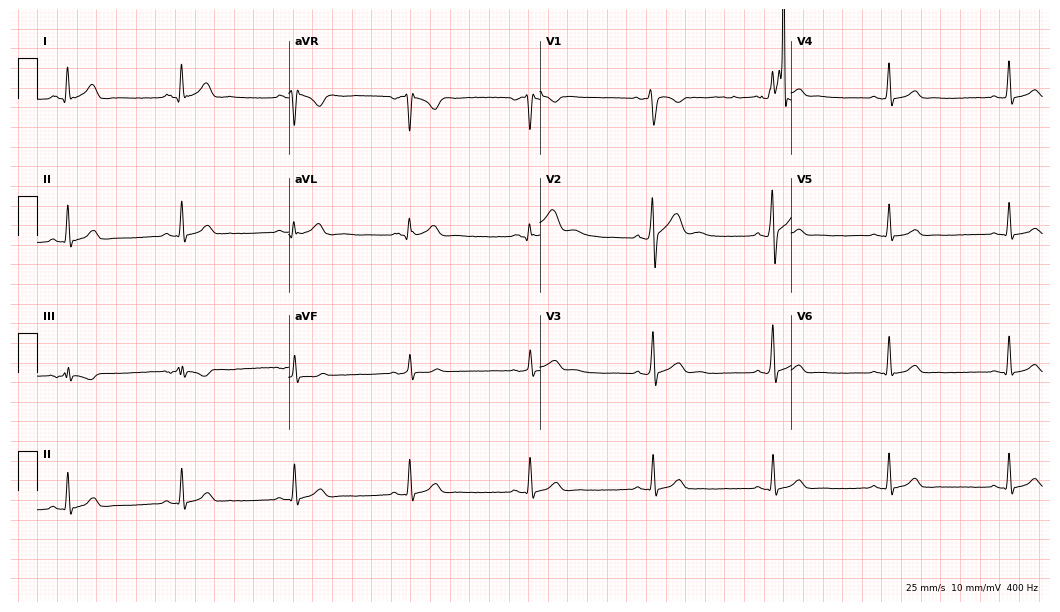
Standard 12-lead ECG recorded from a man, 29 years old (10.2-second recording at 400 Hz). Read as a normal ECG.